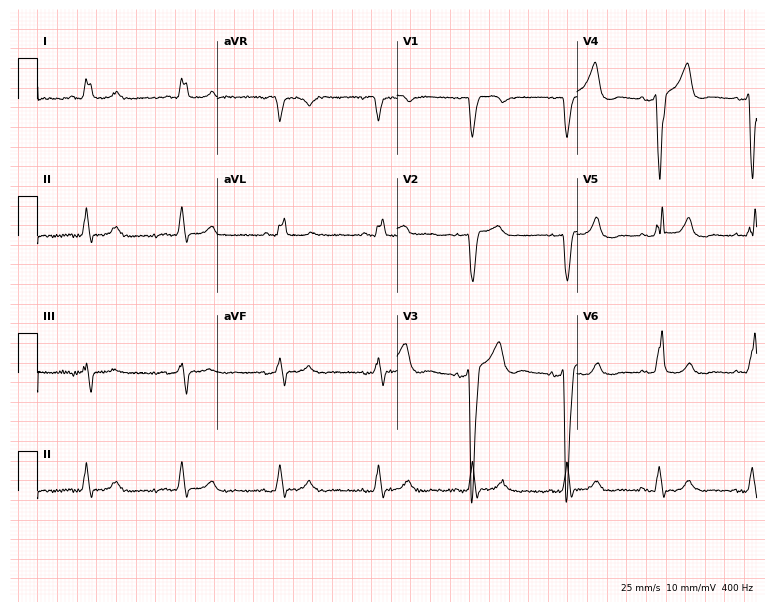
ECG — a female, 75 years old. Findings include left bundle branch block.